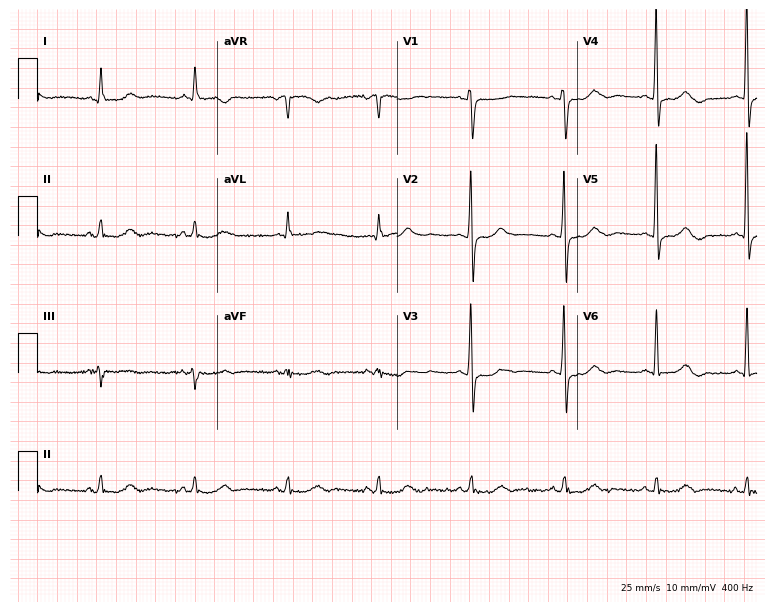
Resting 12-lead electrocardiogram (7.3-second recording at 400 Hz). Patient: a female, 61 years old. None of these six findings is recorded: first-degree AV block, right bundle branch block, left bundle branch block, sinus bradycardia, atrial fibrillation, sinus tachycardia. Only these six findings were labelled.